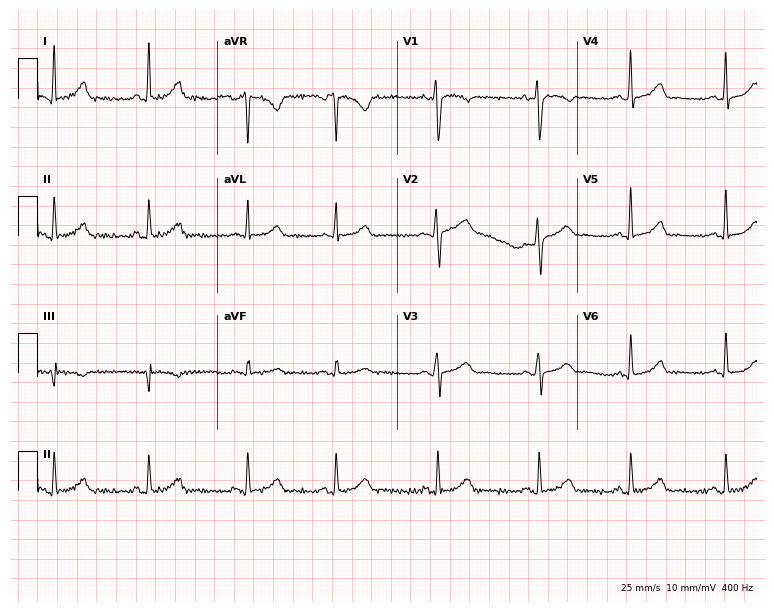
Standard 12-lead ECG recorded from a 30-year-old female patient (7.3-second recording at 400 Hz). Read as a normal ECG.